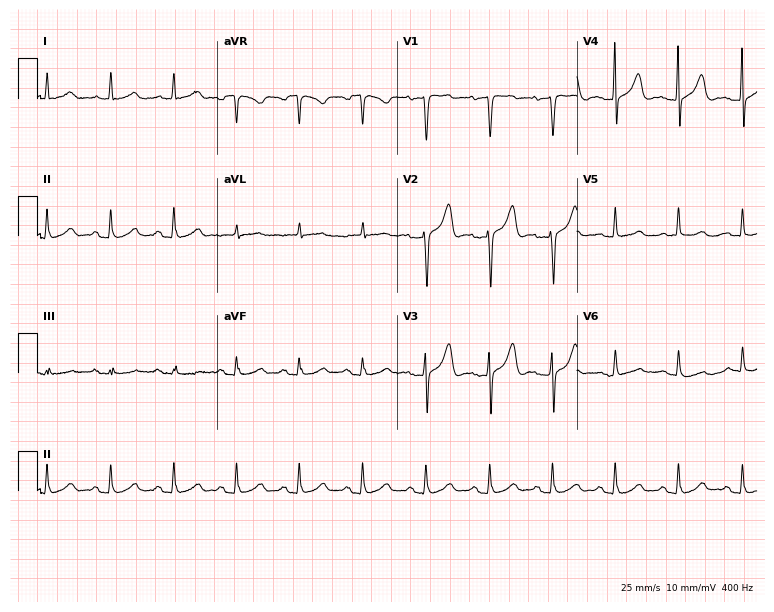
12-lead ECG from a 63-year-old woman. No first-degree AV block, right bundle branch block, left bundle branch block, sinus bradycardia, atrial fibrillation or sinus tachycardia recorded for this tracing.